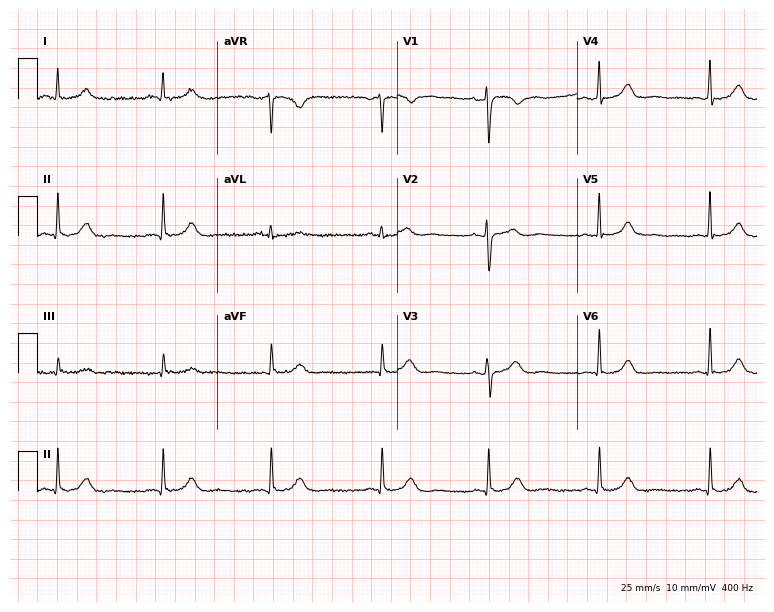
Standard 12-lead ECG recorded from a female patient, 52 years old. Read as a normal ECG.